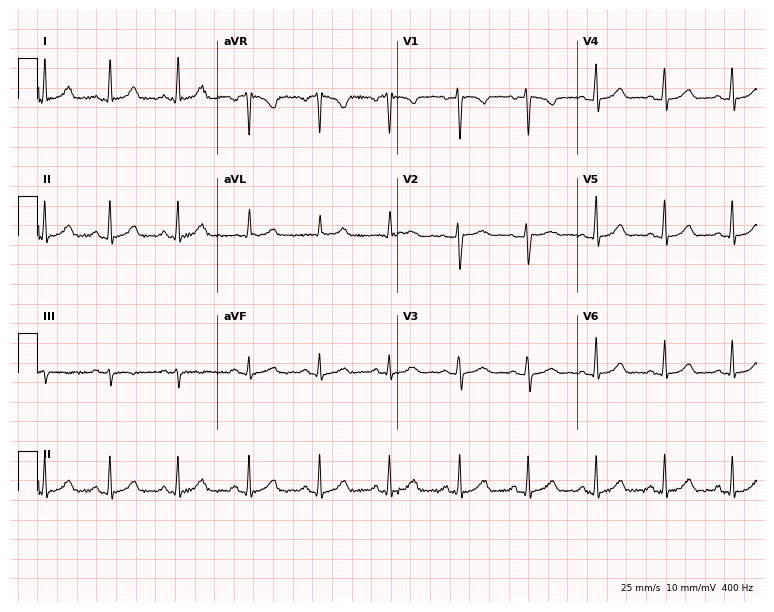
12-lead ECG from a female, 38 years old. Recorded interpretation: within normal limits.